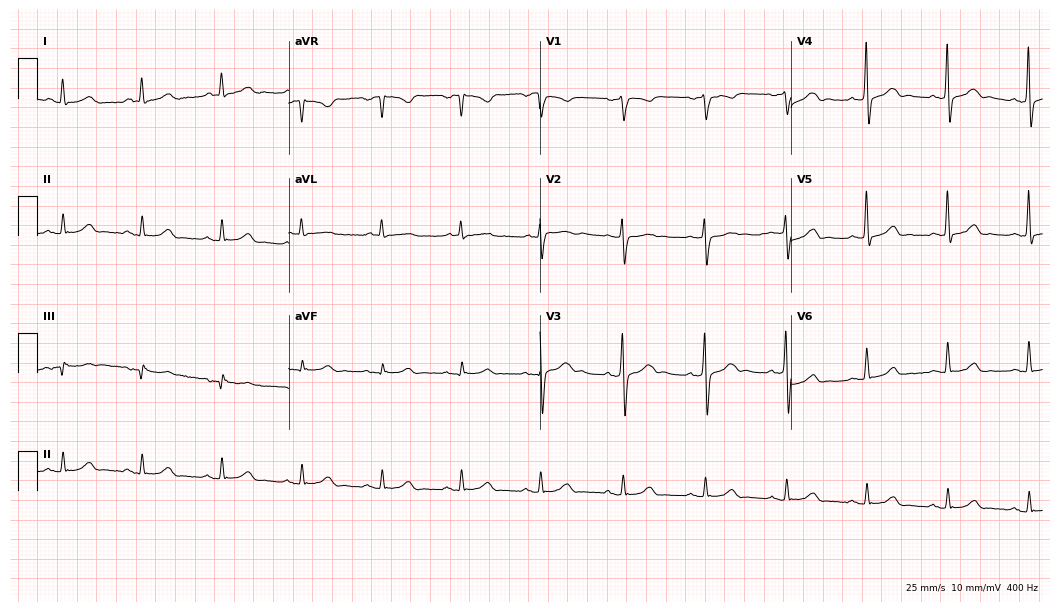
12-lead ECG (10.2-second recording at 400 Hz) from a 77-year-old male. Labelled as a normal ECG.